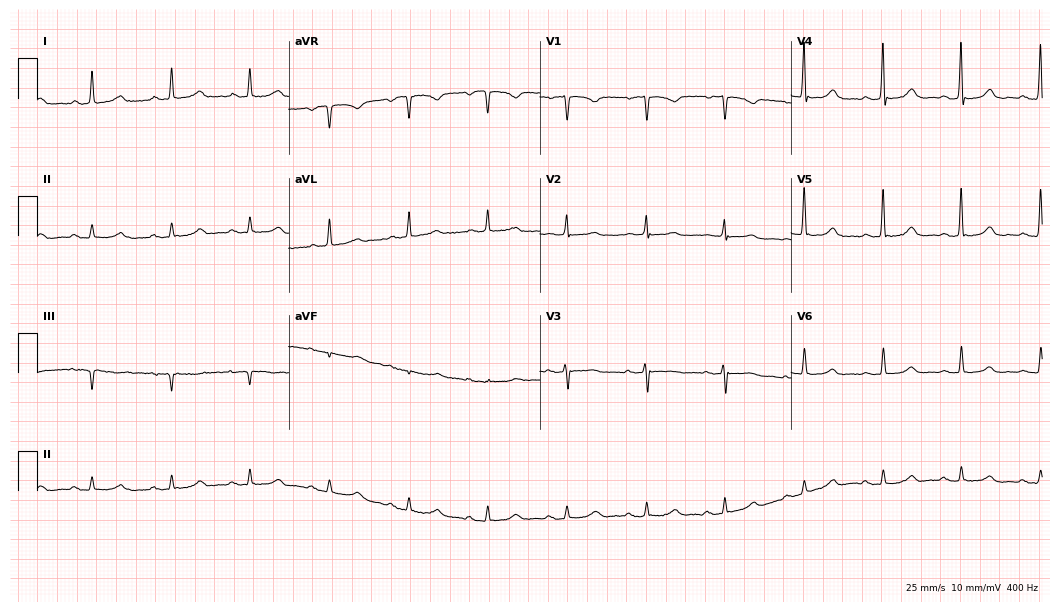
ECG (10.2-second recording at 400 Hz) — a female, 65 years old. Screened for six findings — first-degree AV block, right bundle branch block, left bundle branch block, sinus bradycardia, atrial fibrillation, sinus tachycardia — none is recorded. Other findings, if any, are not listed.